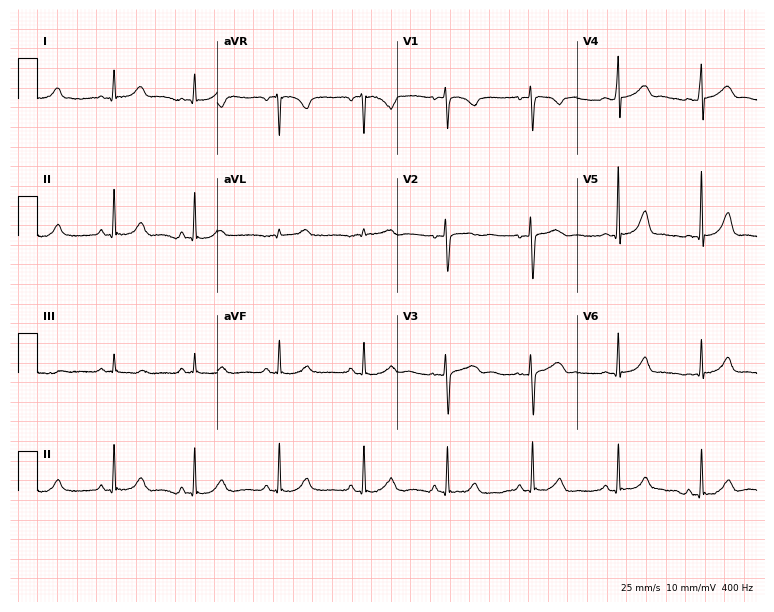
12-lead ECG (7.3-second recording at 400 Hz) from a female, 28 years old. Labelled as a normal ECG.